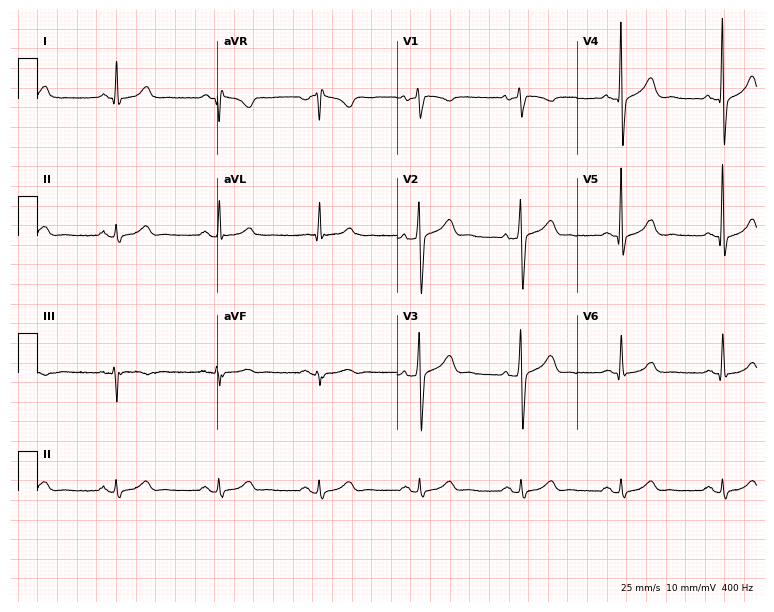
12-lead ECG from a man, 38 years old. Labelled as a normal ECG.